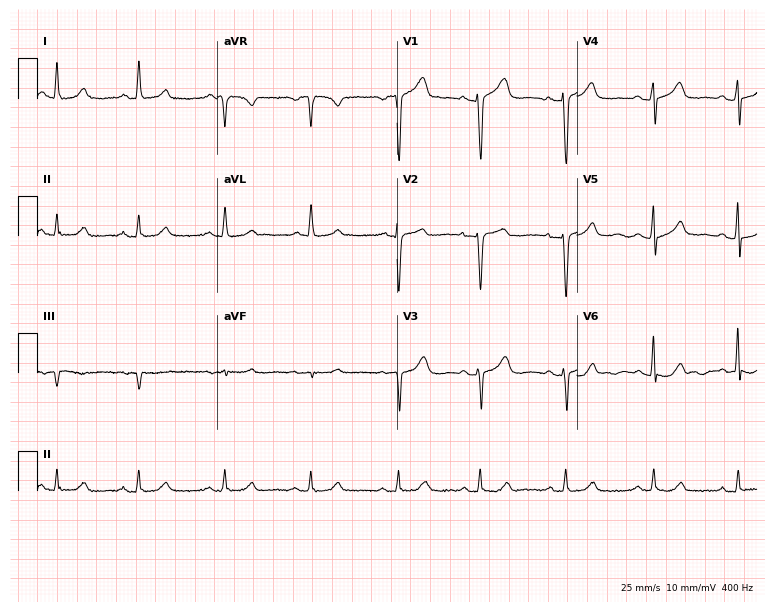
Resting 12-lead electrocardiogram (7.3-second recording at 400 Hz). Patient: a 48-year-old female. Read as a normal ECG.